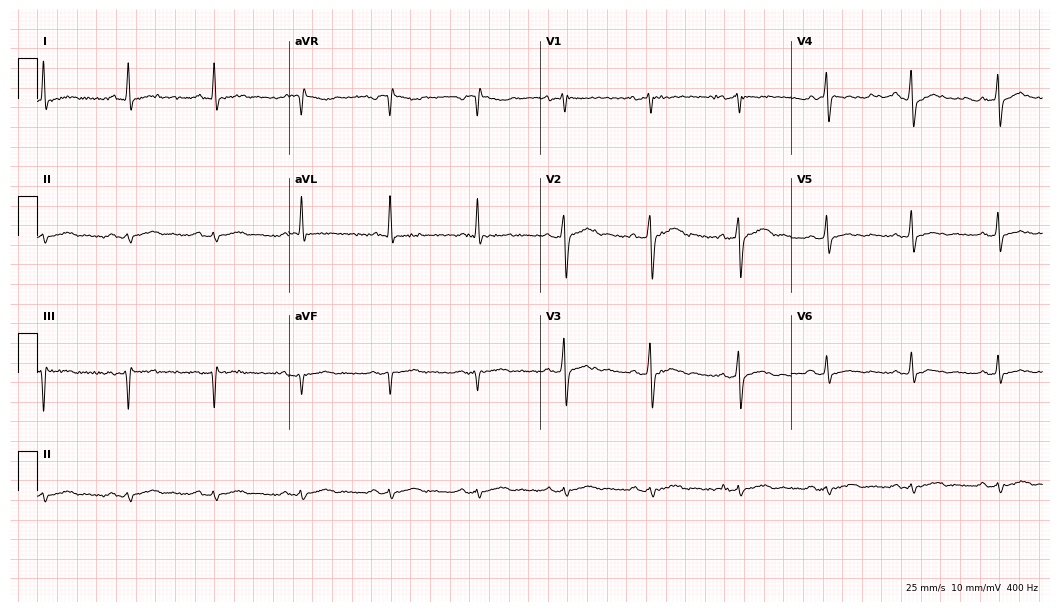
Standard 12-lead ECG recorded from a man, 48 years old. None of these six findings is recorded: first-degree AV block, right bundle branch block (RBBB), left bundle branch block (LBBB), sinus bradycardia, atrial fibrillation (AF), sinus tachycardia.